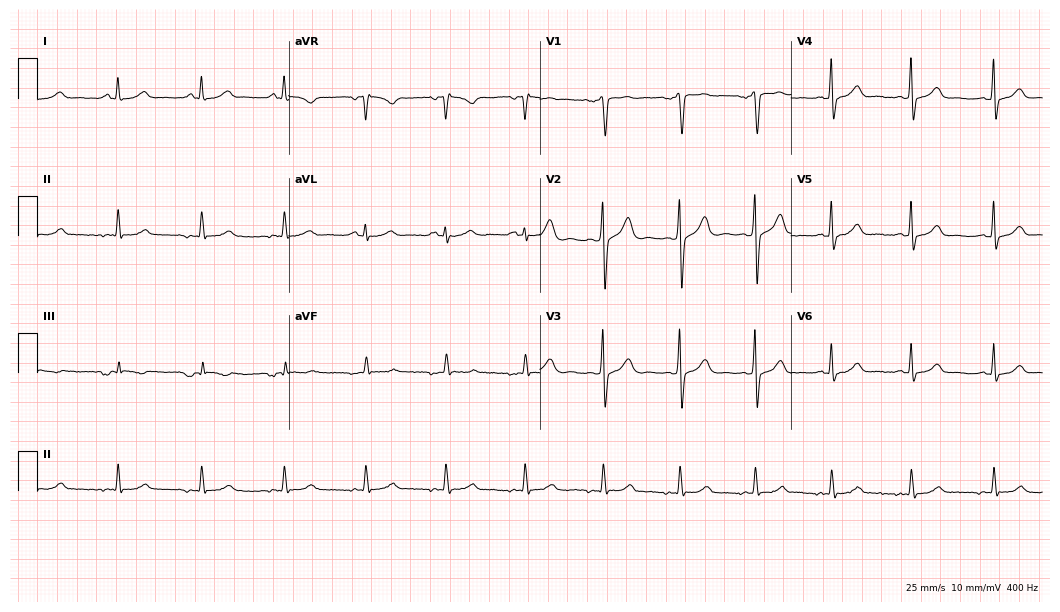
Electrocardiogram, a 66-year-old male. Of the six screened findings (first-degree AV block, right bundle branch block, left bundle branch block, sinus bradycardia, atrial fibrillation, sinus tachycardia), none is recorded. Findings outside these six are not listed.